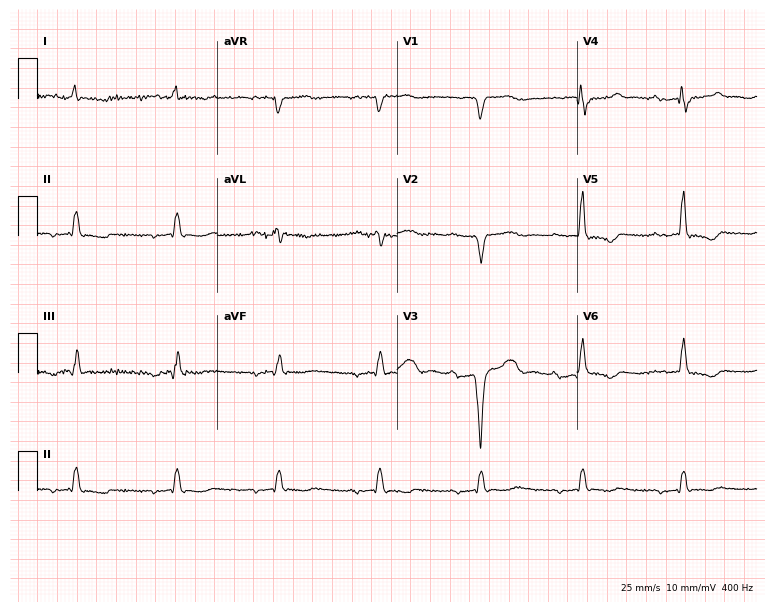
Electrocardiogram (7.3-second recording at 400 Hz), a male patient, 70 years old. Of the six screened findings (first-degree AV block, right bundle branch block, left bundle branch block, sinus bradycardia, atrial fibrillation, sinus tachycardia), none is recorded.